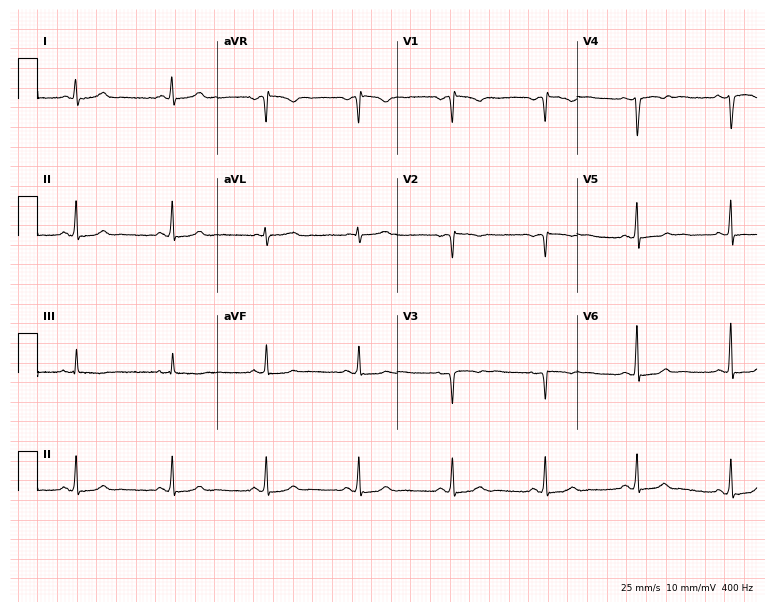
Resting 12-lead electrocardiogram. Patient: a female, 36 years old. None of these six findings is recorded: first-degree AV block, right bundle branch block, left bundle branch block, sinus bradycardia, atrial fibrillation, sinus tachycardia.